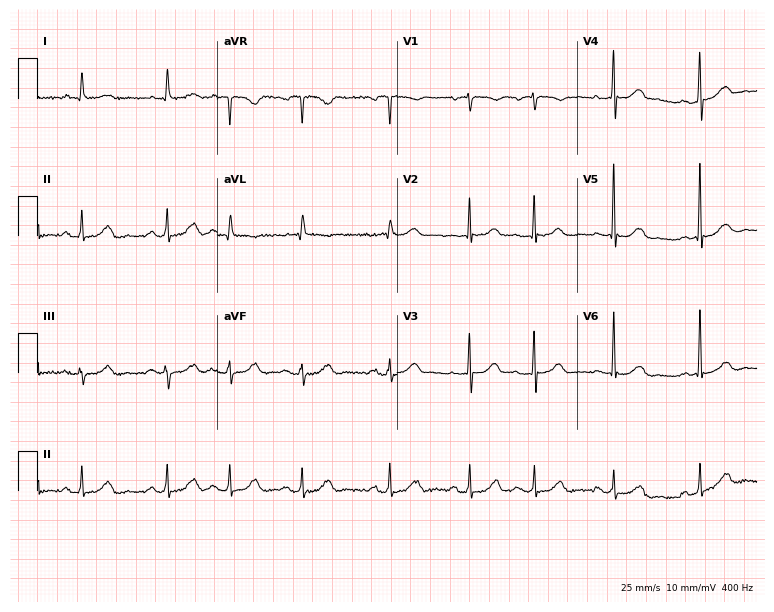
12-lead ECG from a 79-year-old female. No first-degree AV block, right bundle branch block, left bundle branch block, sinus bradycardia, atrial fibrillation or sinus tachycardia recorded for this tracing.